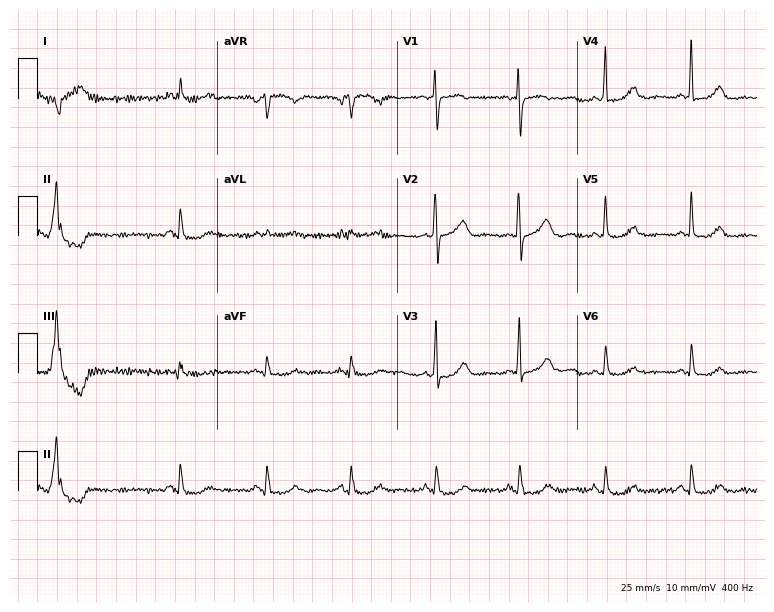
Electrocardiogram, a 73-year-old female patient. Of the six screened findings (first-degree AV block, right bundle branch block, left bundle branch block, sinus bradycardia, atrial fibrillation, sinus tachycardia), none is recorded. Only these six findings were labelled.